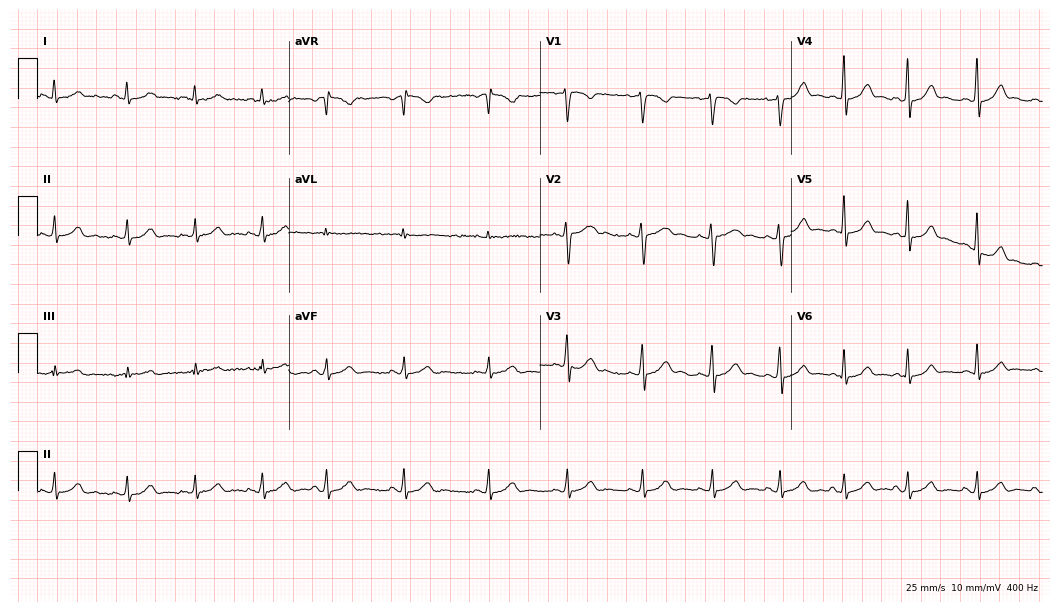
Standard 12-lead ECG recorded from a woman, 18 years old. None of these six findings is recorded: first-degree AV block, right bundle branch block (RBBB), left bundle branch block (LBBB), sinus bradycardia, atrial fibrillation (AF), sinus tachycardia.